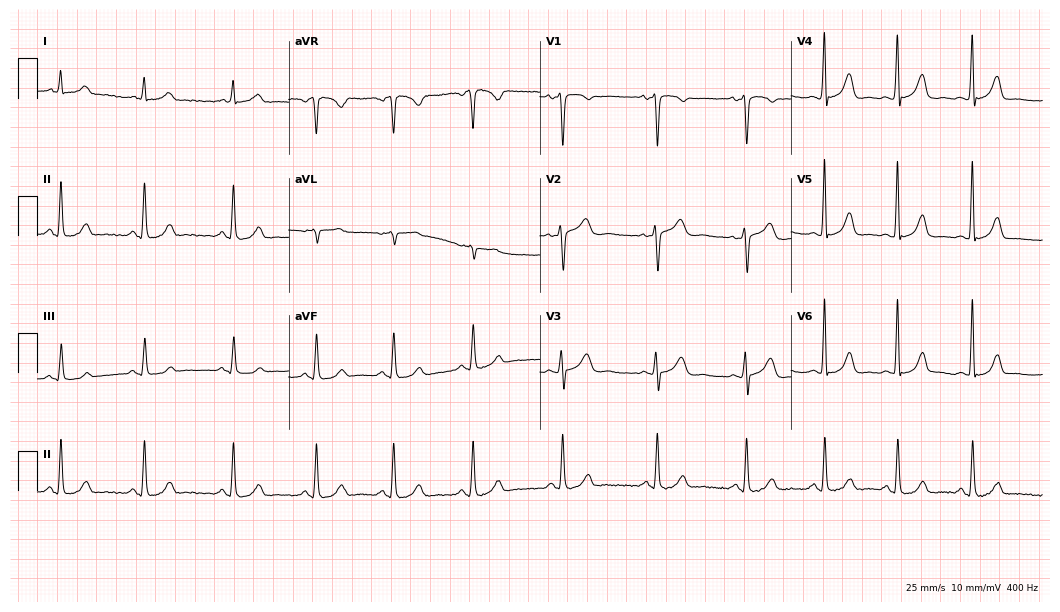
Standard 12-lead ECG recorded from a female patient, 28 years old. Read as a normal ECG.